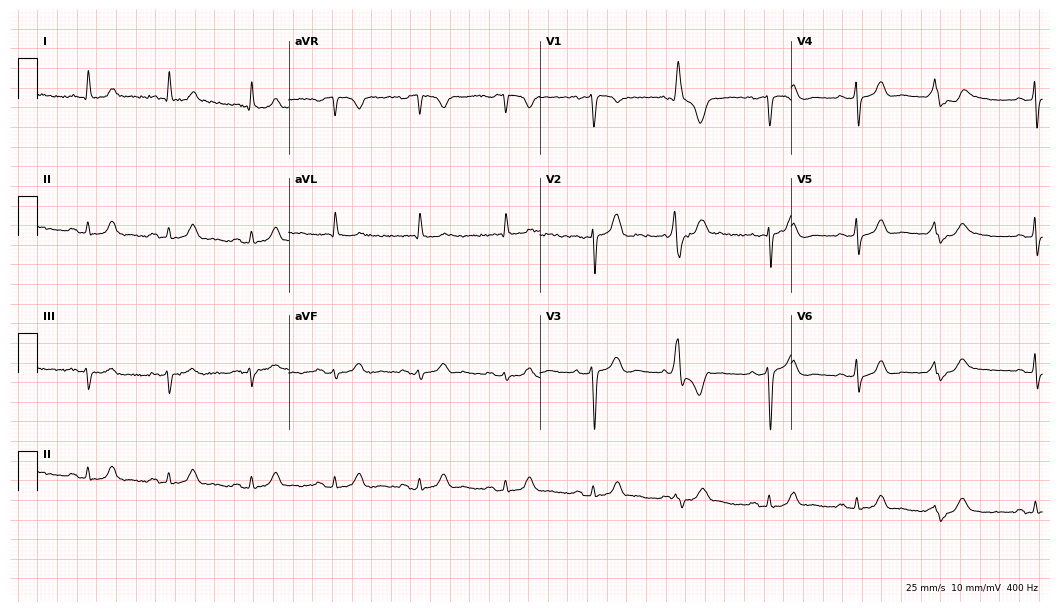
12-lead ECG from an 82-year-old female. No first-degree AV block, right bundle branch block, left bundle branch block, sinus bradycardia, atrial fibrillation or sinus tachycardia recorded for this tracing.